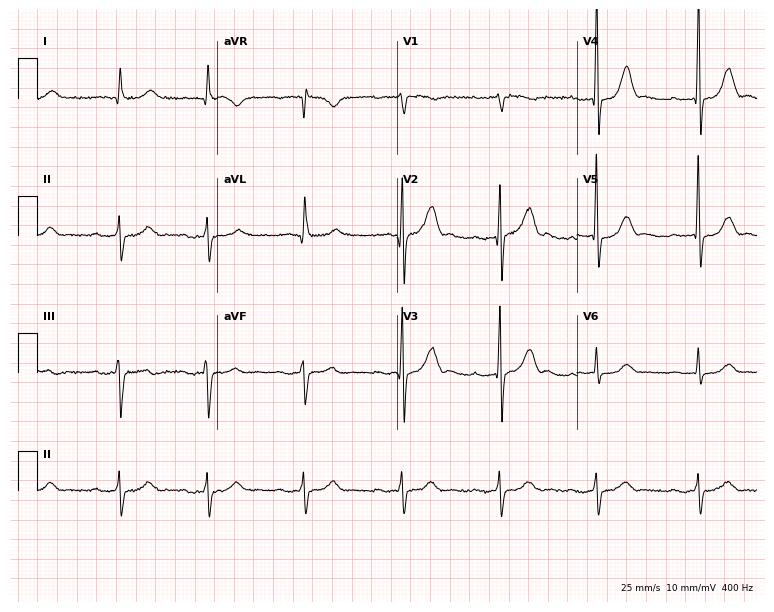
Resting 12-lead electrocardiogram (7.3-second recording at 400 Hz). Patient: an 81-year-old man. The tracing shows atrial fibrillation.